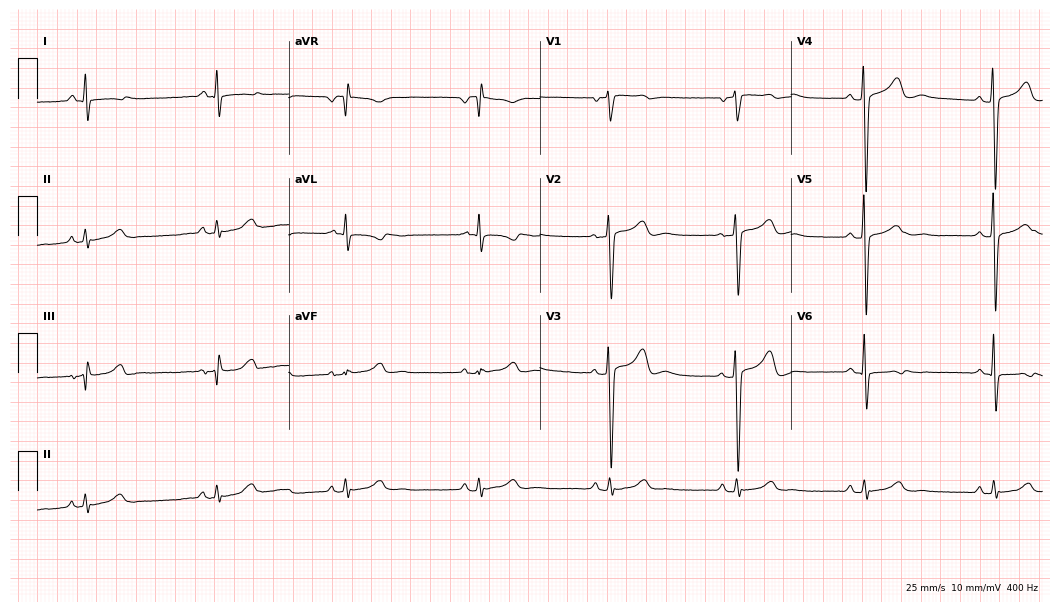
12-lead ECG from a woman, 34 years old. Recorded interpretation: within normal limits.